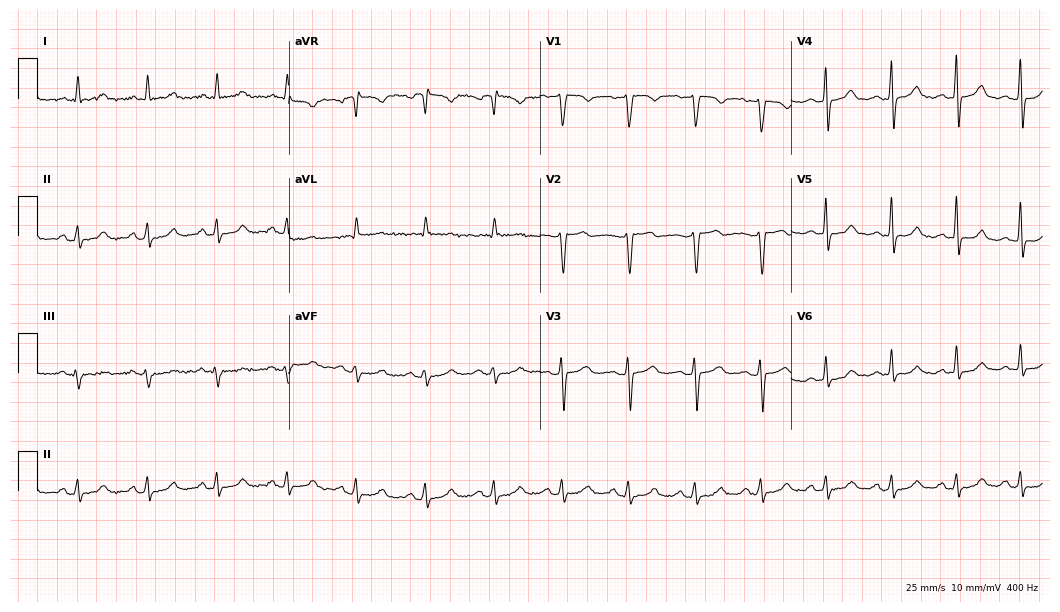
Standard 12-lead ECG recorded from a woman, 68 years old. None of these six findings is recorded: first-degree AV block, right bundle branch block (RBBB), left bundle branch block (LBBB), sinus bradycardia, atrial fibrillation (AF), sinus tachycardia. Other findings, if any, are not listed.